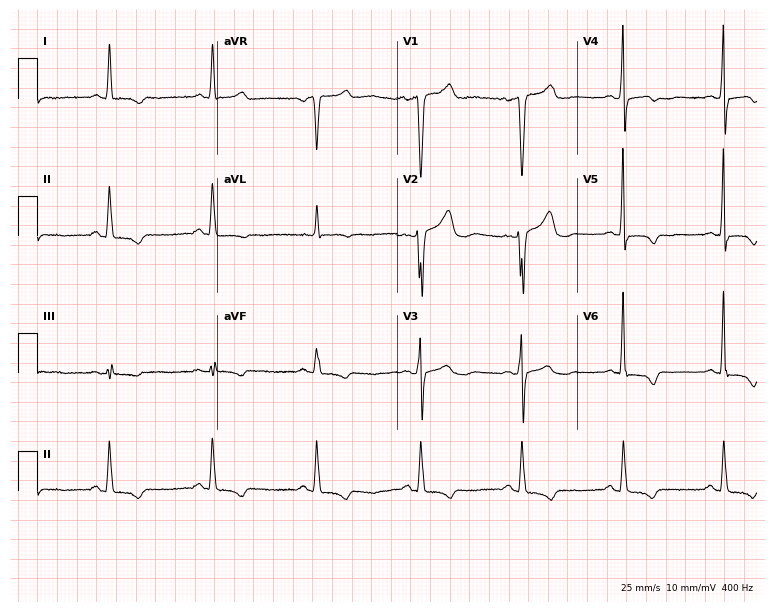
Electrocardiogram, a 55-year-old female. Of the six screened findings (first-degree AV block, right bundle branch block, left bundle branch block, sinus bradycardia, atrial fibrillation, sinus tachycardia), none is recorded. Findings outside these six are not listed.